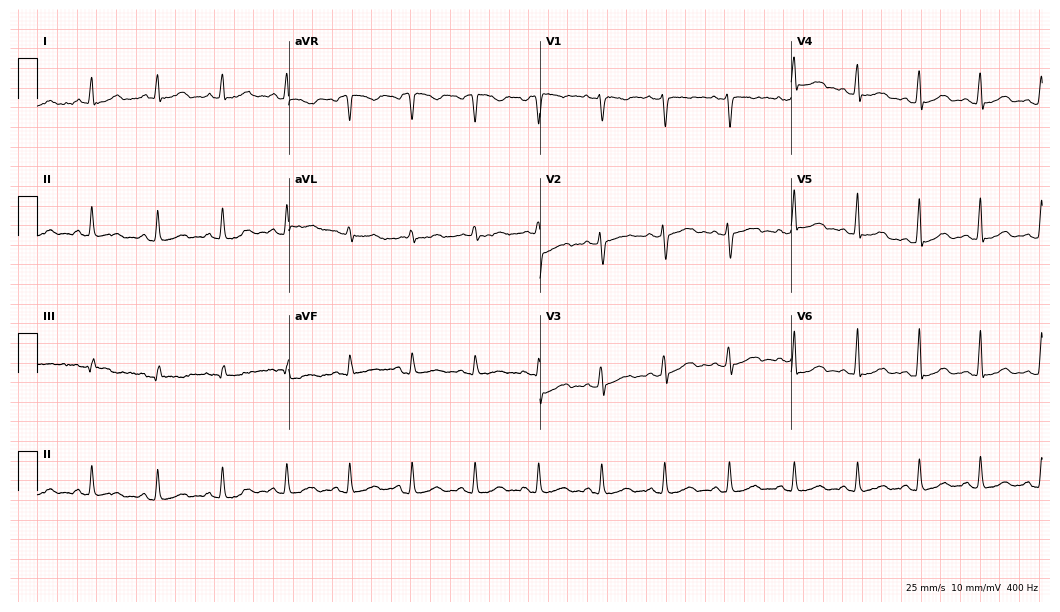
ECG (10.2-second recording at 400 Hz) — a male, 25 years old. Labelled as a normal ECG.